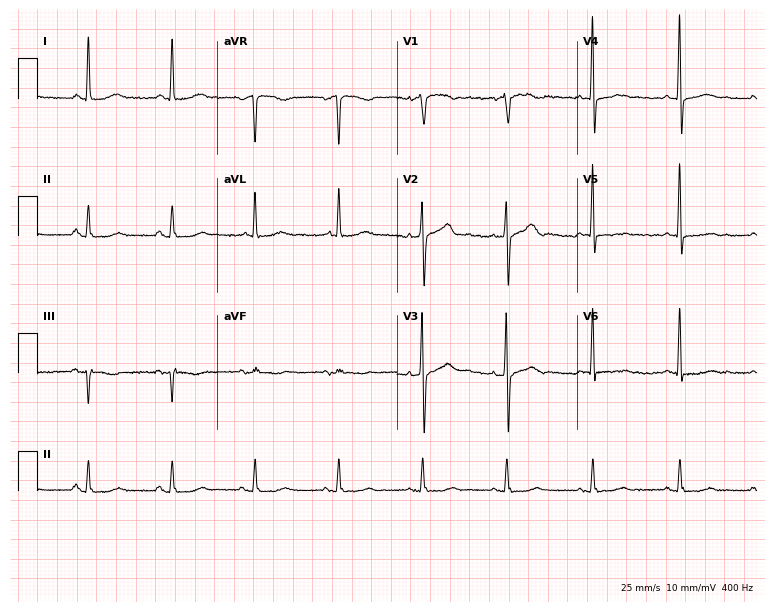
ECG — an 84-year-old female patient. Labelled as a normal ECG.